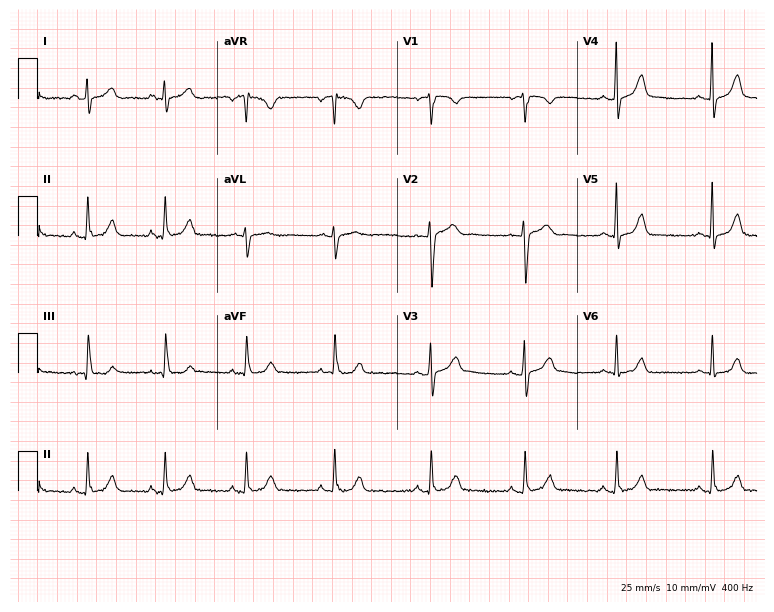
ECG (7.3-second recording at 400 Hz) — a woman, 30 years old. Labelled as a normal ECG.